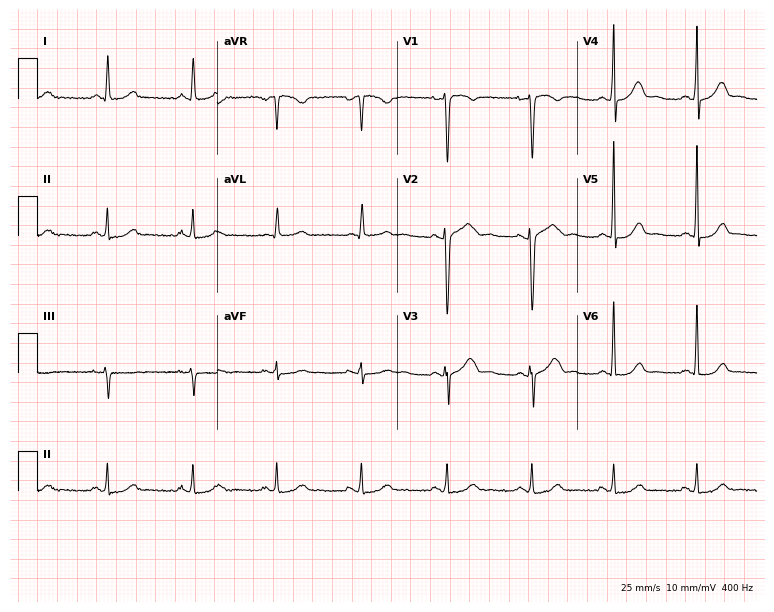
Resting 12-lead electrocardiogram (7.3-second recording at 400 Hz). Patient: a female, 43 years old. None of these six findings is recorded: first-degree AV block, right bundle branch block (RBBB), left bundle branch block (LBBB), sinus bradycardia, atrial fibrillation (AF), sinus tachycardia.